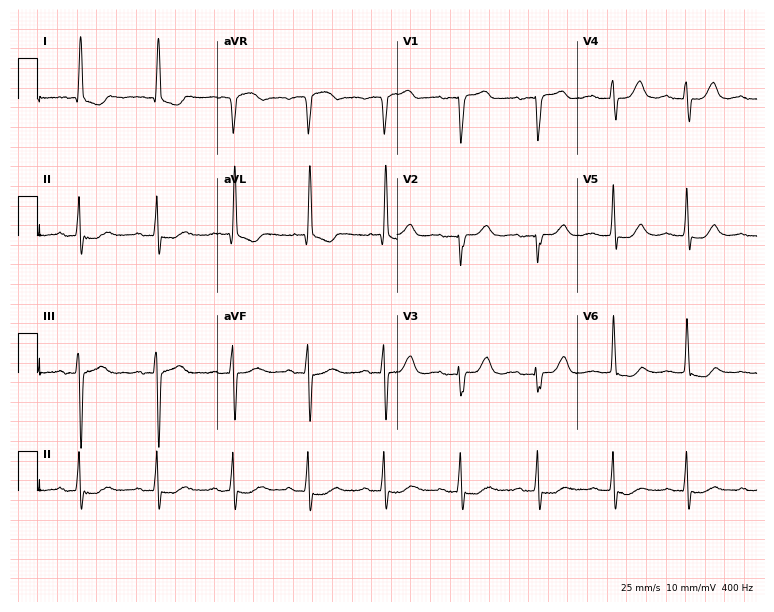
Resting 12-lead electrocardiogram (7.3-second recording at 400 Hz). Patient: an 84-year-old female. Read as a normal ECG.